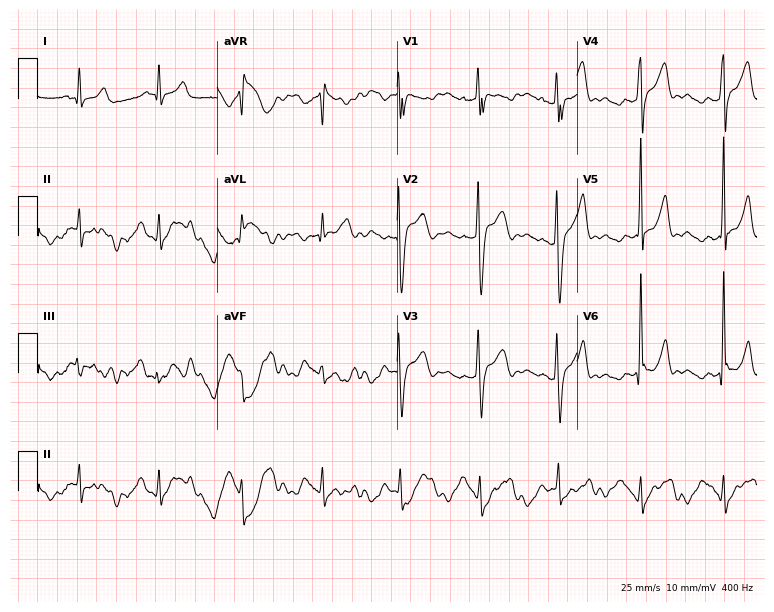
ECG — a man, 38 years old. Screened for six findings — first-degree AV block, right bundle branch block, left bundle branch block, sinus bradycardia, atrial fibrillation, sinus tachycardia — none is recorded.